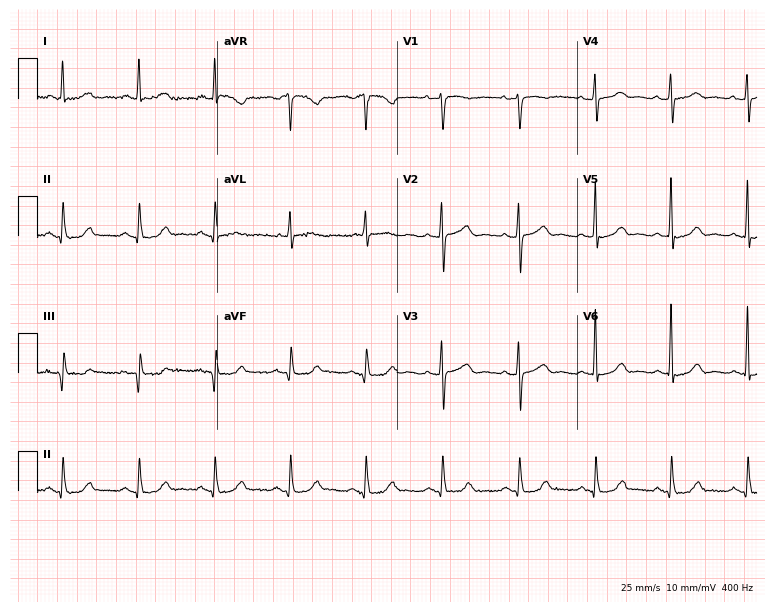
Standard 12-lead ECG recorded from a 74-year-old female patient (7.3-second recording at 400 Hz). Read as a normal ECG.